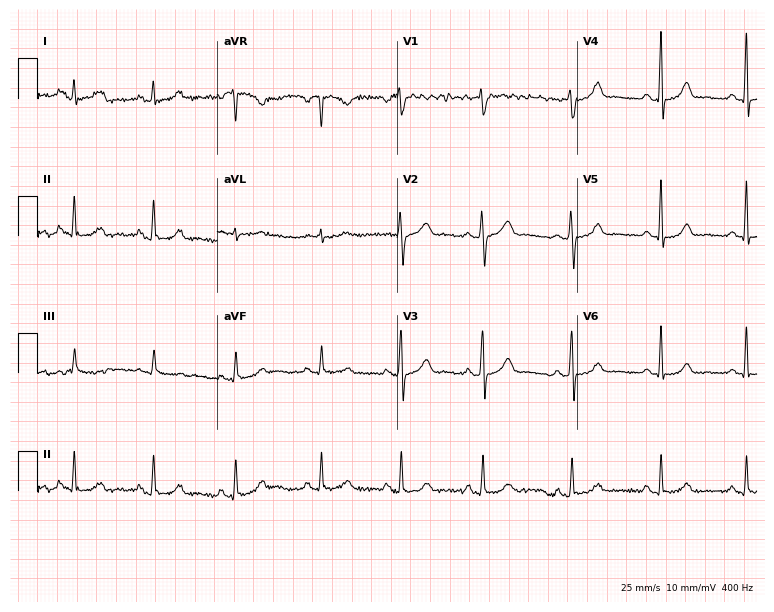
12-lead ECG from a 44-year-old female patient. Recorded interpretation: within normal limits.